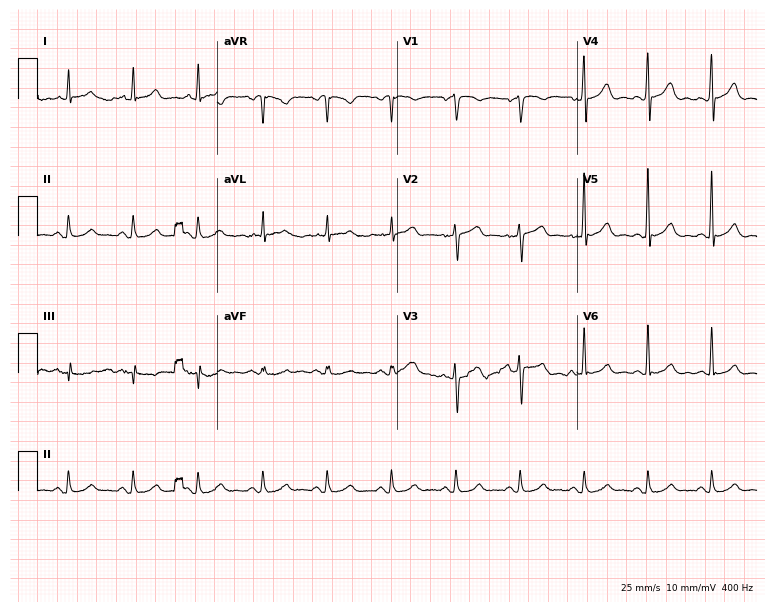
ECG — a male, 70 years old. Labelled as a normal ECG.